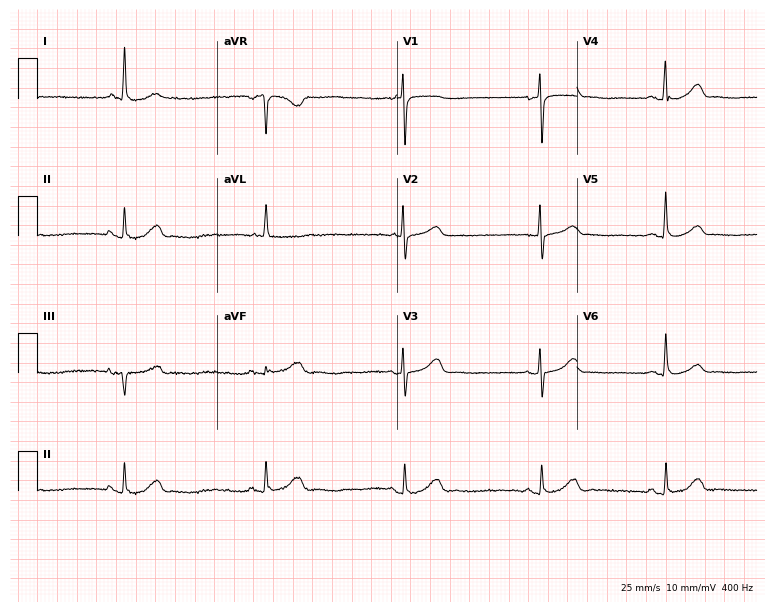
Standard 12-lead ECG recorded from an 83-year-old female (7.3-second recording at 400 Hz). None of these six findings is recorded: first-degree AV block, right bundle branch block (RBBB), left bundle branch block (LBBB), sinus bradycardia, atrial fibrillation (AF), sinus tachycardia. Only these six findings were labelled.